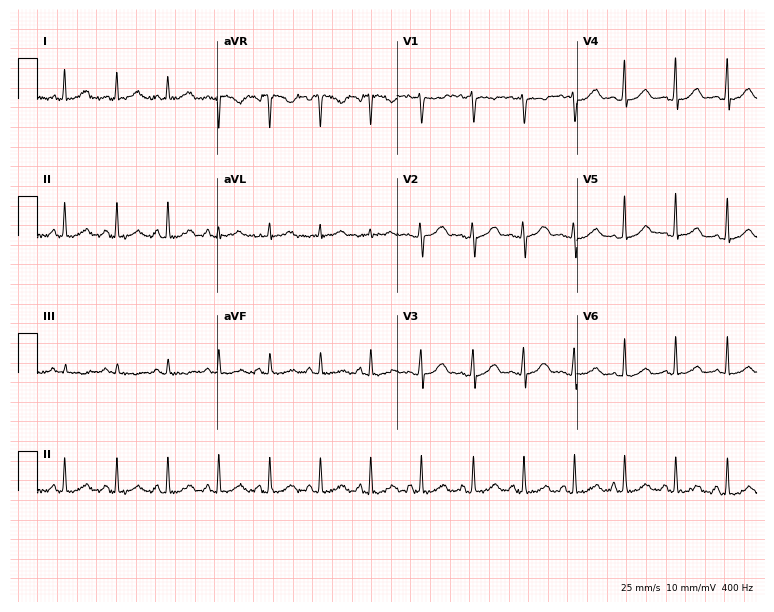
12-lead ECG from a female, 32 years old (7.3-second recording at 400 Hz). No first-degree AV block, right bundle branch block, left bundle branch block, sinus bradycardia, atrial fibrillation or sinus tachycardia recorded for this tracing.